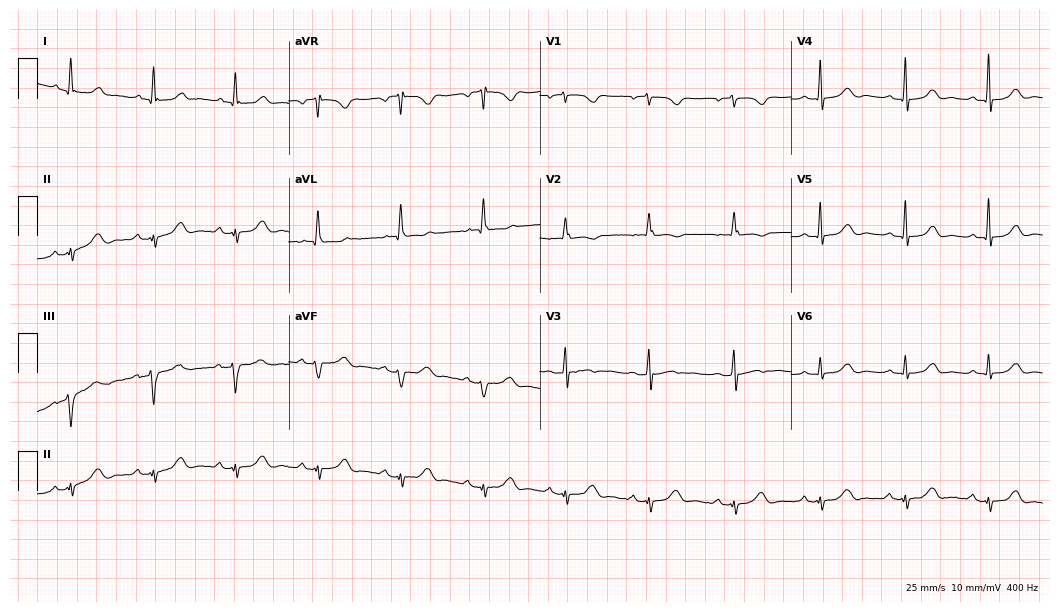
Standard 12-lead ECG recorded from a female, 71 years old (10.2-second recording at 400 Hz). None of these six findings is recorded: first-degree AV block, right bundle branch block, left bundle branch block, sinus bradycardia, atrial fibrillation, sinus tachycardia. Findings outside these six are not listed.